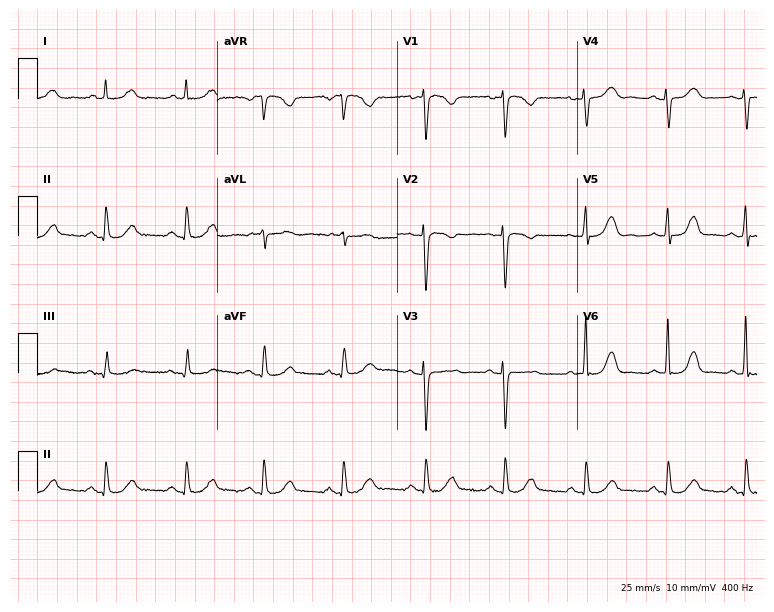
ECG — an 84-year-old female patient. Labelled as a normal ECG.